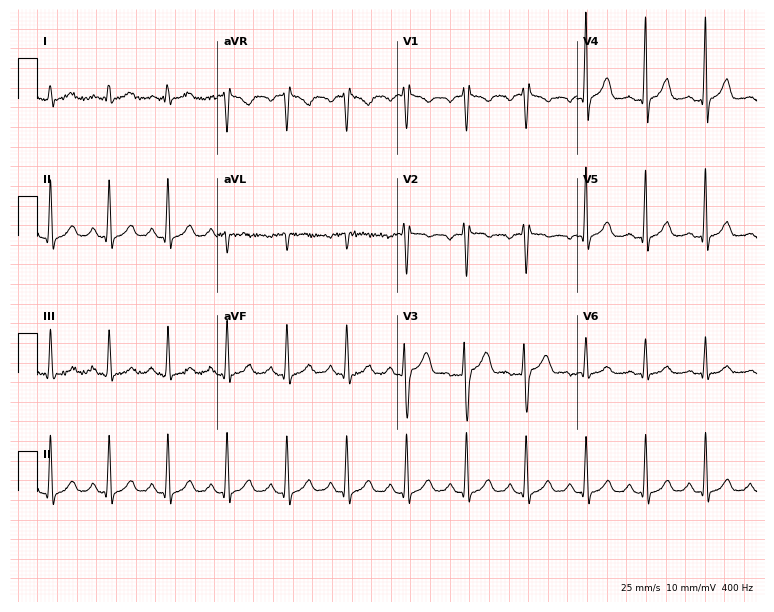
Standard 12-lead ECG recorded from a man, 24 years old. None of these six findings is recorded: first-degree AV block, right bundle branch block, left bundle branch block, sinus bradycardia, atrial fibrillation, sinus tachycardia.